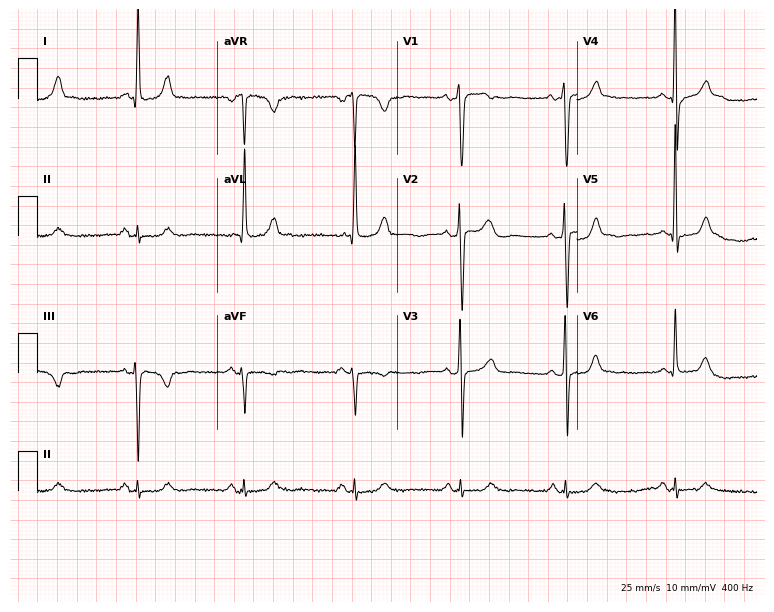
Standard 12-lead ECG recorded from a male patient, 67 years old. Read as a normal ECG.